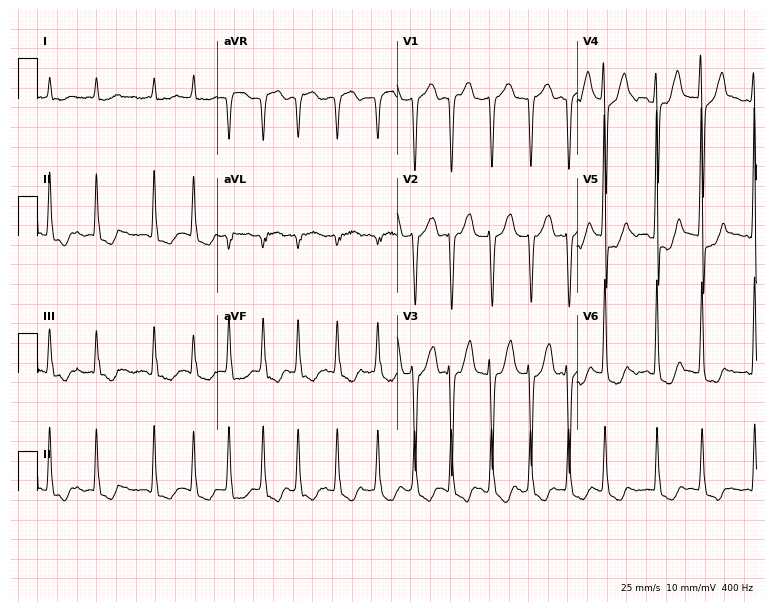
12-lead ECG (7.3-second recording at 400 Hz) from a 62-year-old female patient. Findings include atrial fibrillation.